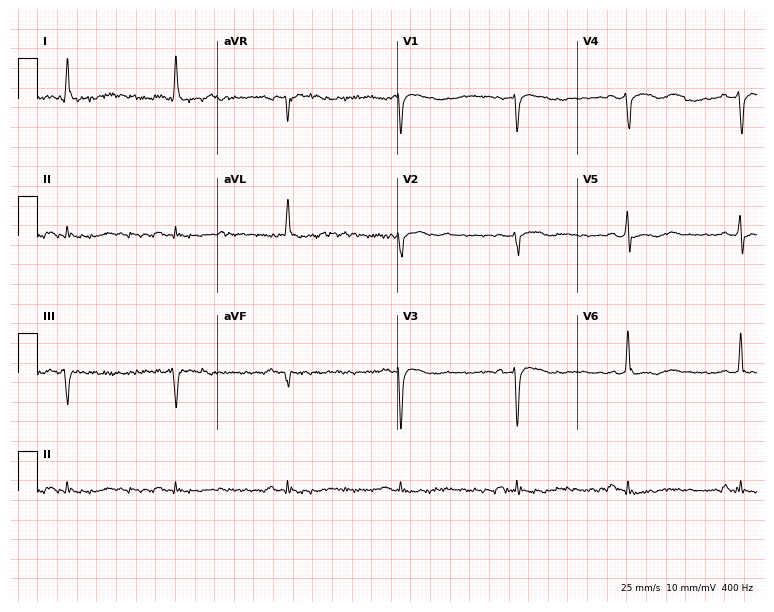
Electrocardiogram (7.3-second recording at 400 Hz), a male, 74 years old. Of the six screened findings (first-degree AV block, right bundle branch block, left bundle branch block, sinus bradycardia, atrial fibrillation, sinus tachycardia), none is recorded.